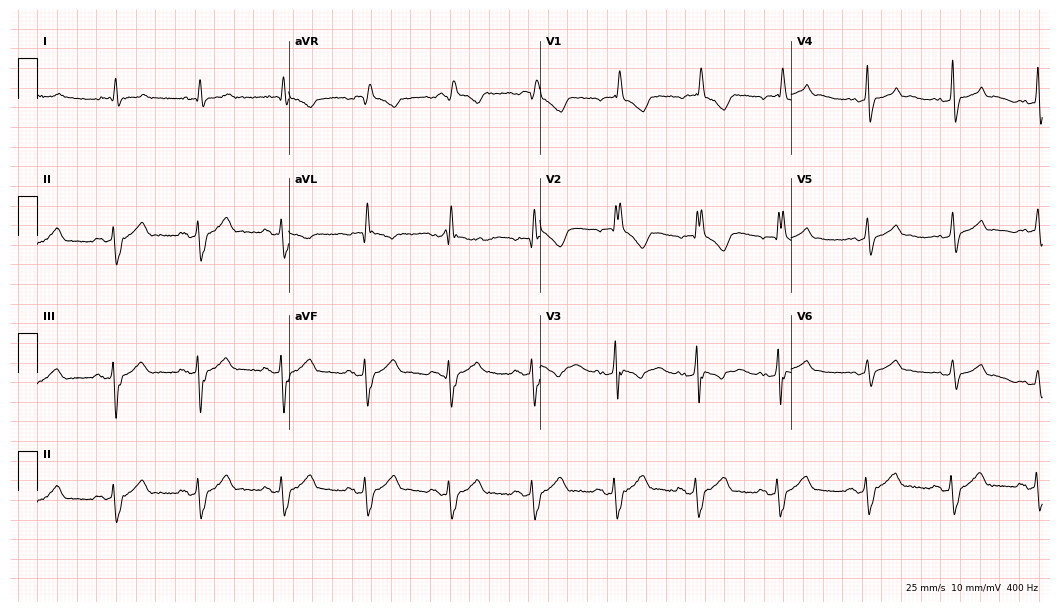
Standard 12-lead ECG recorded from a 72-year-old woman. None of these six findings is recorded: first-degree AV block, right bundle branch block (RBBB), left bundle branch block (LBBB), sinus bradycardia, atrial fibrillation (AF), sinus tachycardia. Findings outside these six are not listed.